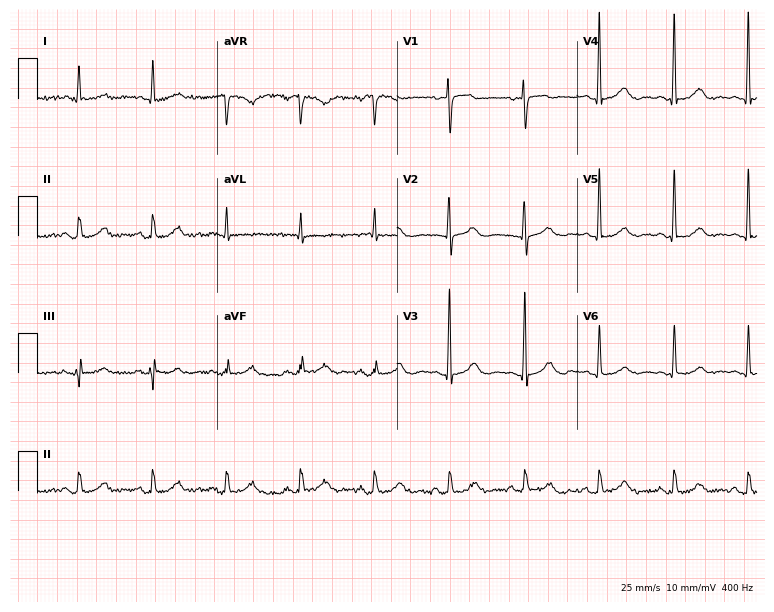
Standard 12-lead ECG recorded from a female patient, 74 years old (7.3-second recording at 400 Hz). Read as a normal ECG.